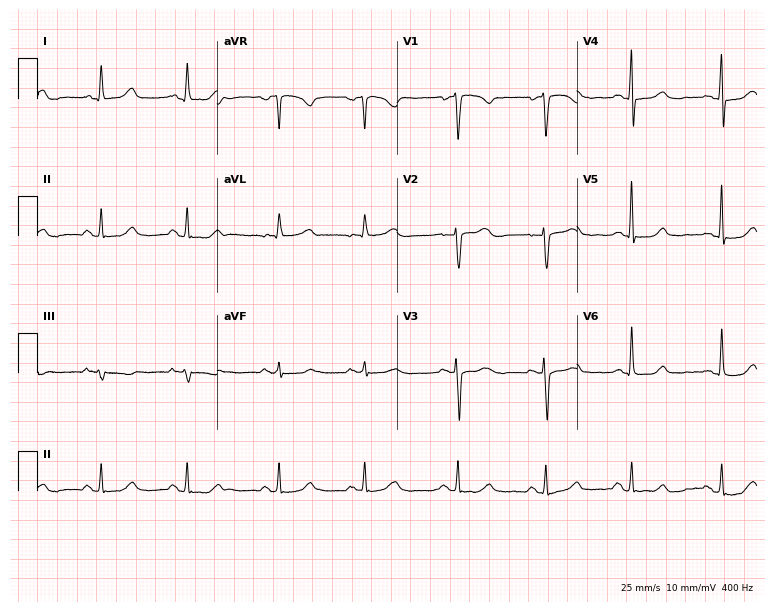
12-lead ECG from a woman, 43 years old. Labelled as a normal ECG.